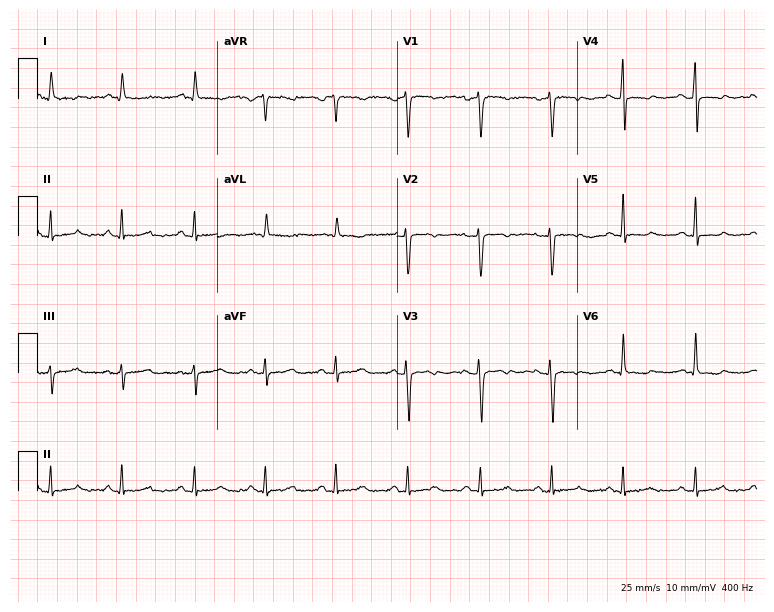
Electrocardiogram (7.3-second recording at 400 Hz), a 59-year-old female patient. Of the six screened findings (first-degree AV block, right bundle branch block, left bundle branch block, sinus bradycardia, atrial fibrillation, sinus tachycardia), none is recorded. Other findings, if any, are not listed.